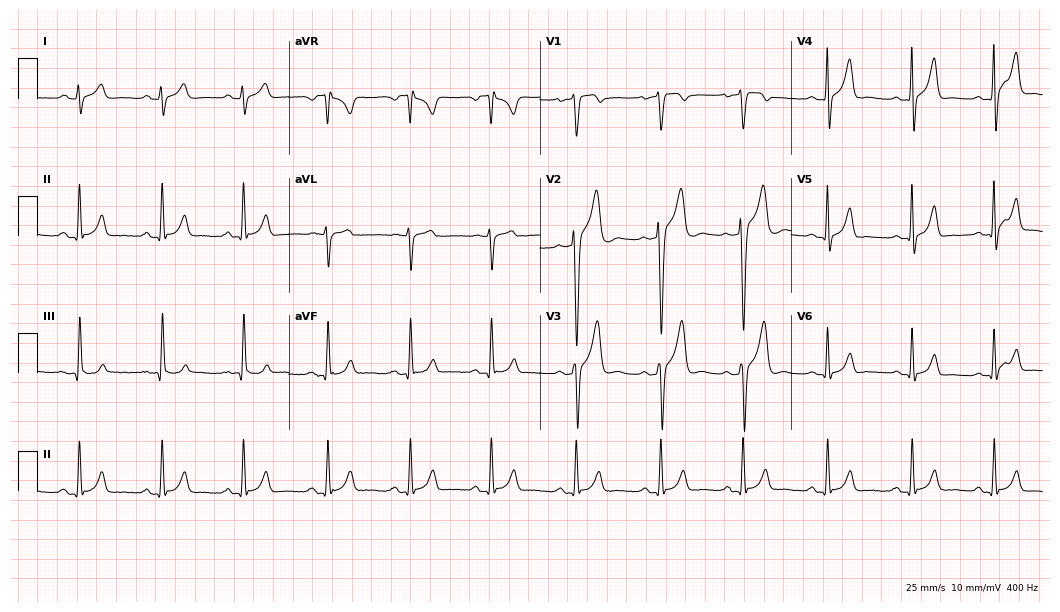
Standard 12-lead ECG recorded from a 23-year-old man (10.2-second recording at 400 Hz). Read as a normal ECG.